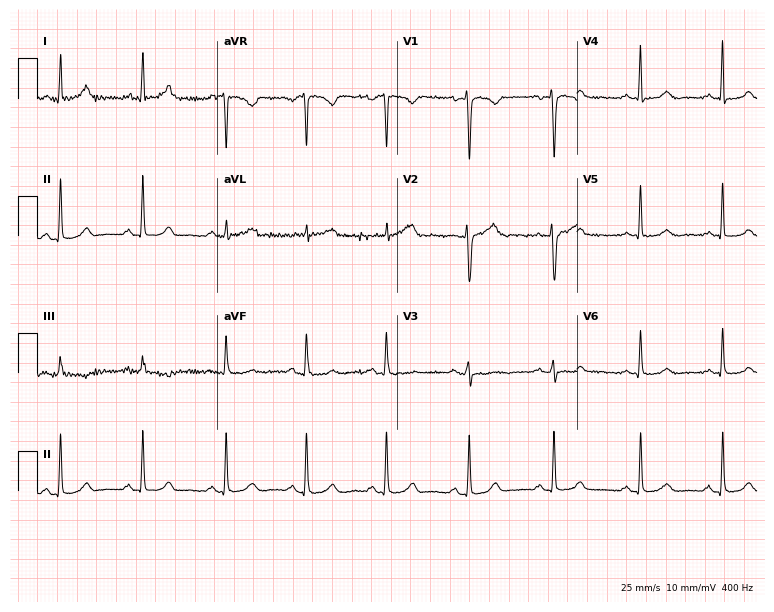
Resting 12-lead electrocardiogram. Patient: a 41-year-old female. Read as a normal ECG.